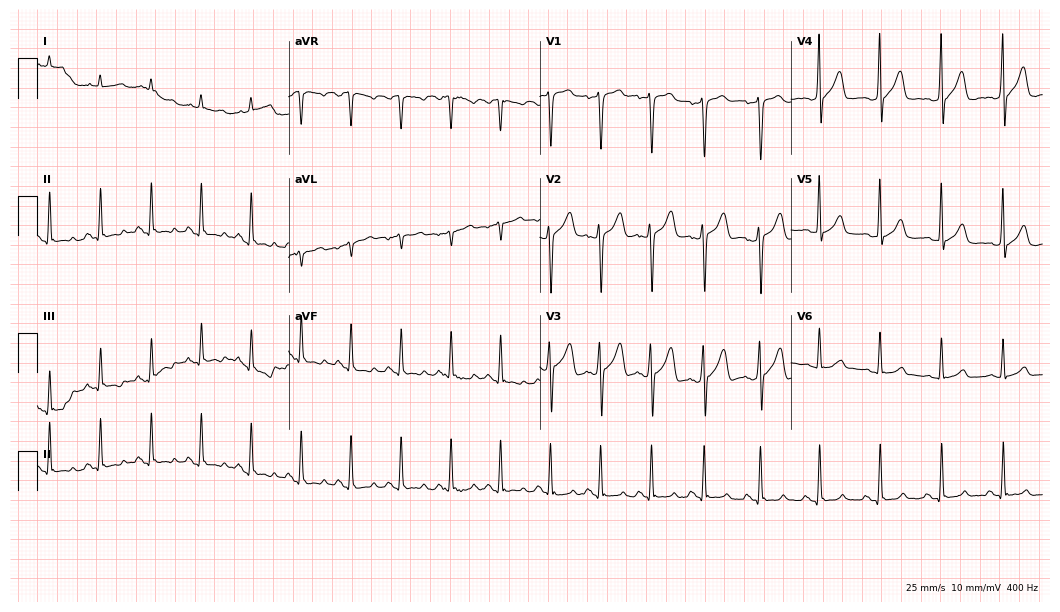
ECG (10.2-second recording at 400 Hz) — a 51-year-old male. Findings include sinus tachycardia (a sinus rate of 100 beats per minute or more).